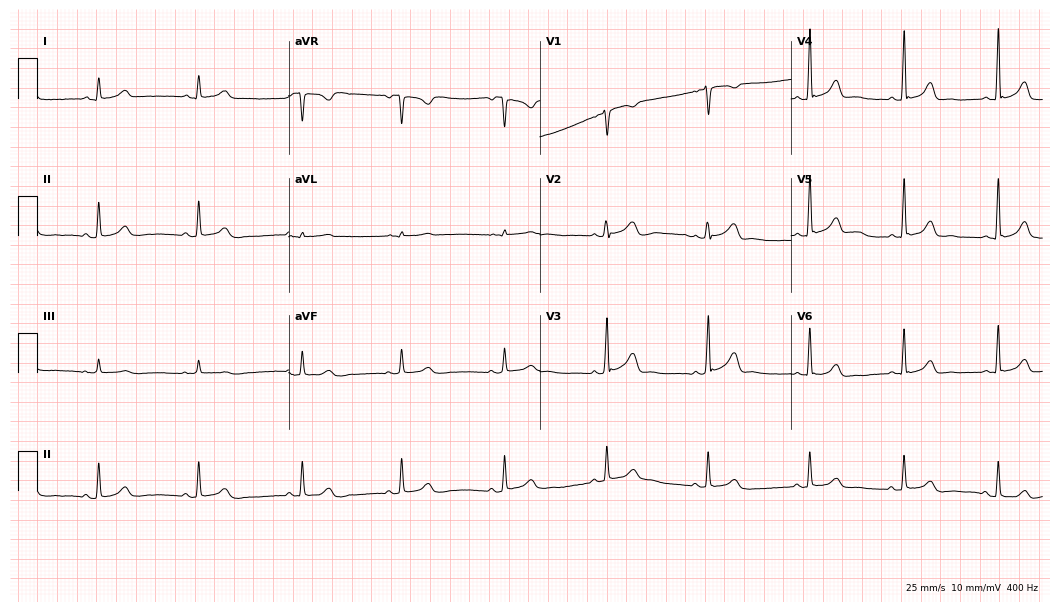
12-lead ECG from a 39-year-old female patient. Labelled as a normal ECG.